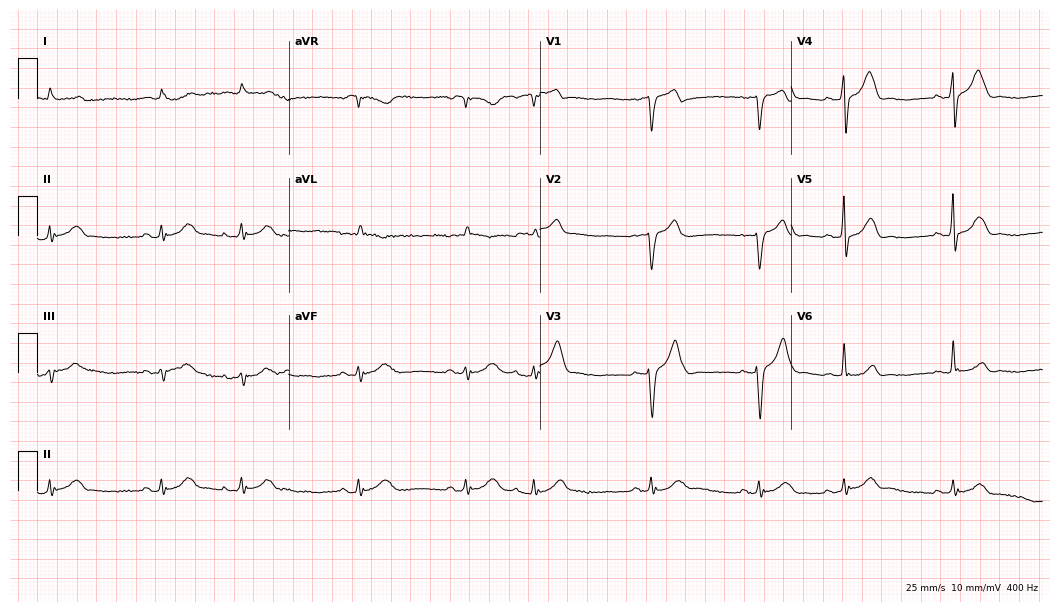
12-lead ECG from a male, 75 years old (10.2-second recording at 400 Hz). No first-degree AV block, right bundle branch block (RBBB), left bundle branch block (LBBB), sinus bradycardia, atrial fibrillation (AF) or sinus tachycardia recorded for this tracing. Findings outside these six are not listed.